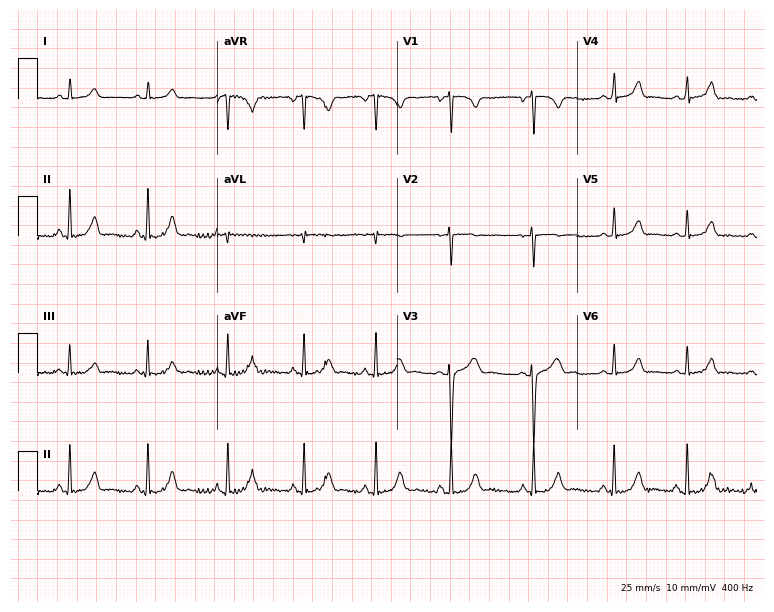
ECG (7.3-second recording at 400 Hz) — a 17-year-old female. Labelled as a normal ECG.